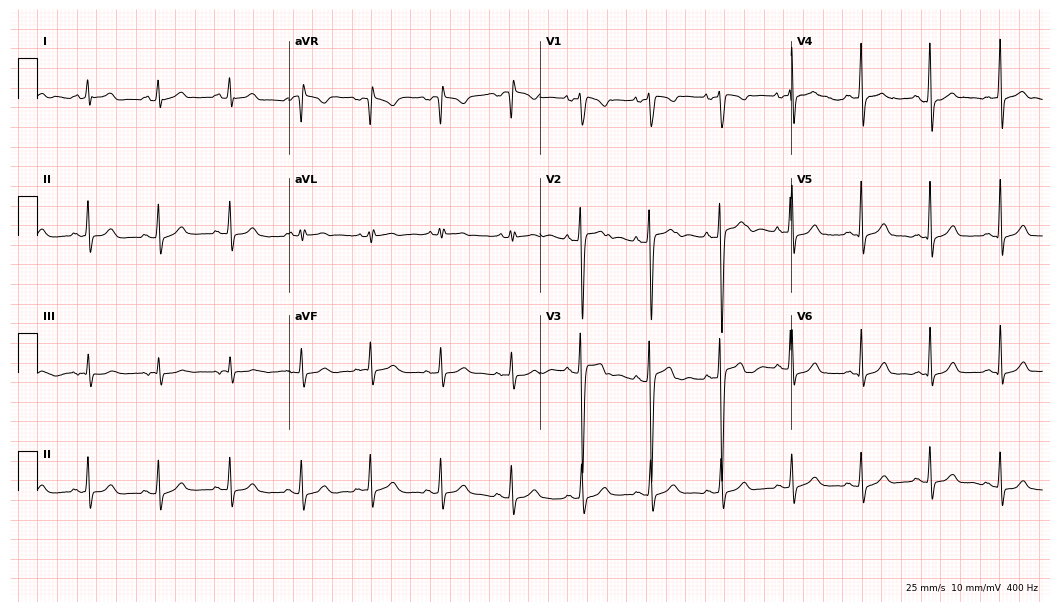
Standard 12-lead ECG recorded from an 18-year-old male (10.2-second recording at 400 Hz). Read as a normal ECG.